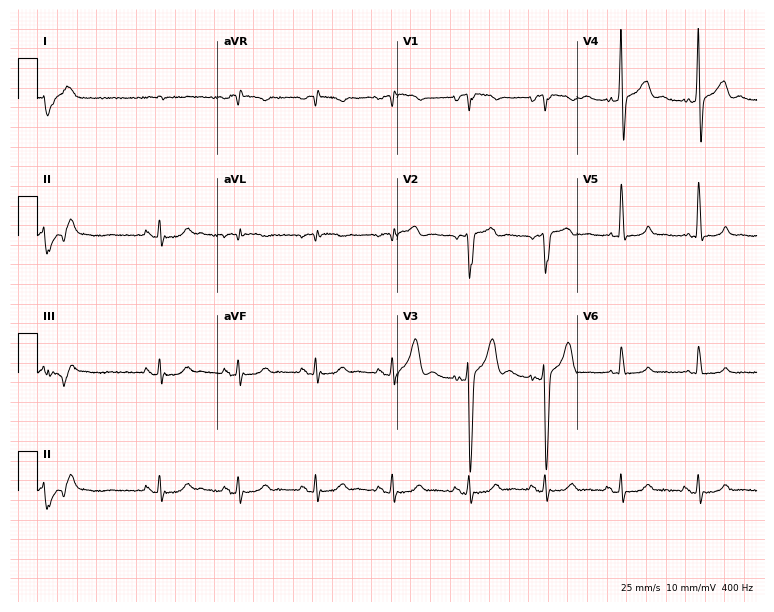
Electrocardiogram (7.3-second recording at 400 Hz), a 75-year-old male. Overall reading on record: normal ECG.